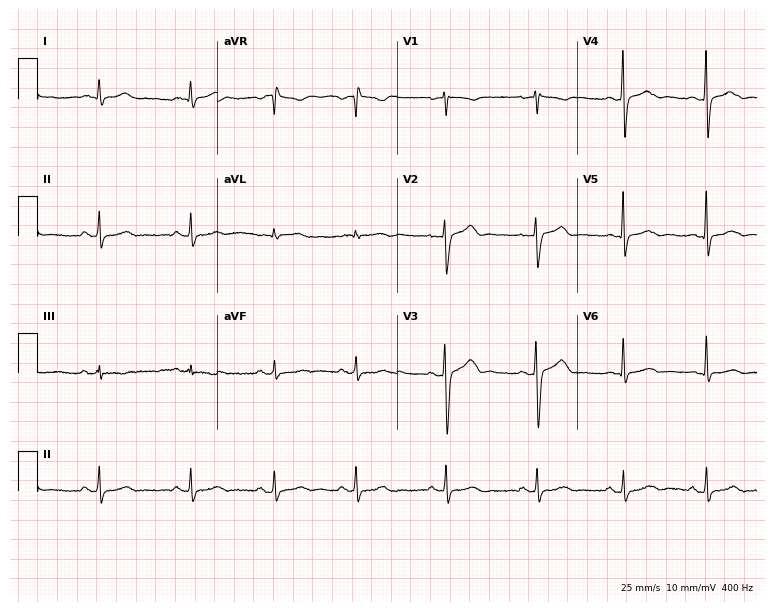
12-lead ECG from a male patient, 29 years old. No first-degree AV block, right bundle branch block, left bundle branch block, sinus bradycardia, atrial fibrillation or sinus tachycardia recorded for this tracing. Only these six findings were labelled.